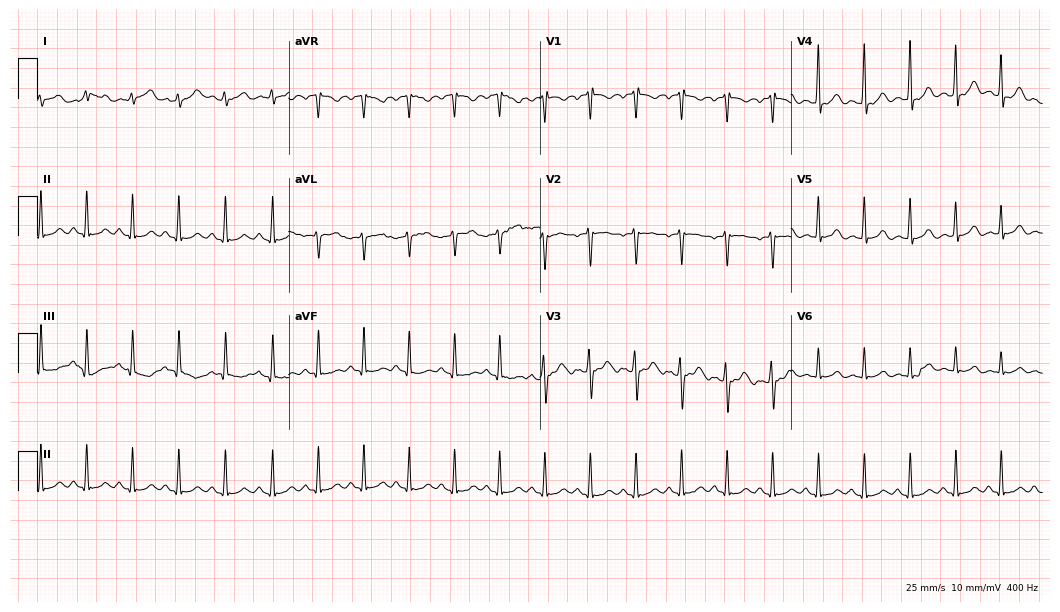
Electrocardiogram, a 17-year-old female patient. Interpretation includes sinus tachycardia (a sinus rate of 100 beats per minute or more).